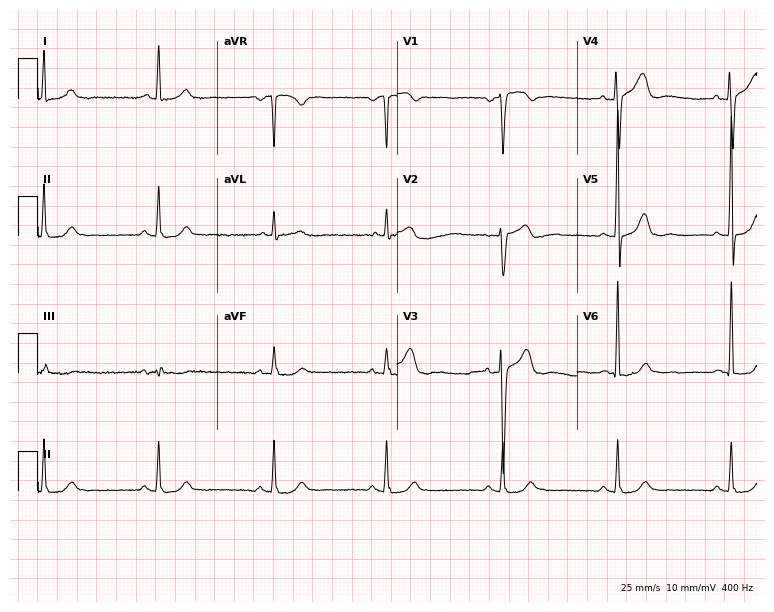
ECG — a 46-year-old man. Screened for six findings — first-degree AV block, right bundle branch block, left bundle branch block, sinus bradycardia, atrial fibrillation, sinus tachycardia — none is recorded.